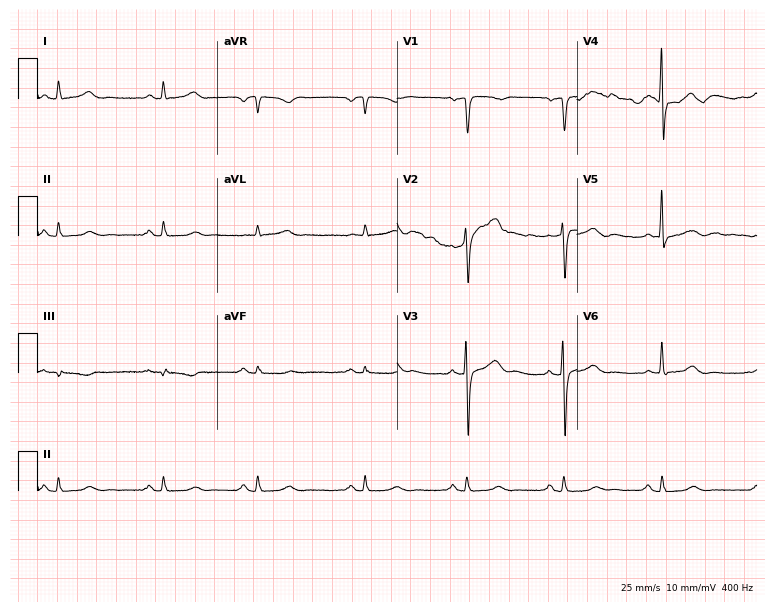
12-lead ECG from a 69-year-old male patient. No first-degree AV block, right bundle branch block, left bundle branch block, sinus bradycardia, atrial fibrillation or sinus tachycardia recorded for this tracing. Findings outside these six are not listed.